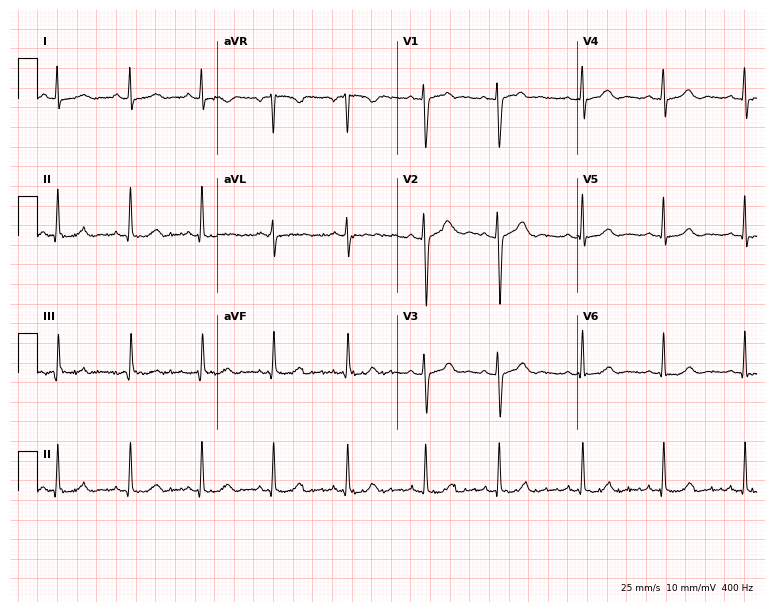
12-lead ECG from a woman, 38 years old (7.3-second recording at 400 Hz). No first-degree AV block, right bundle branch block, left bundle branch block, sinus bradycardia, atrial fibrillation or sinus tachycardia recorded for this tracing.